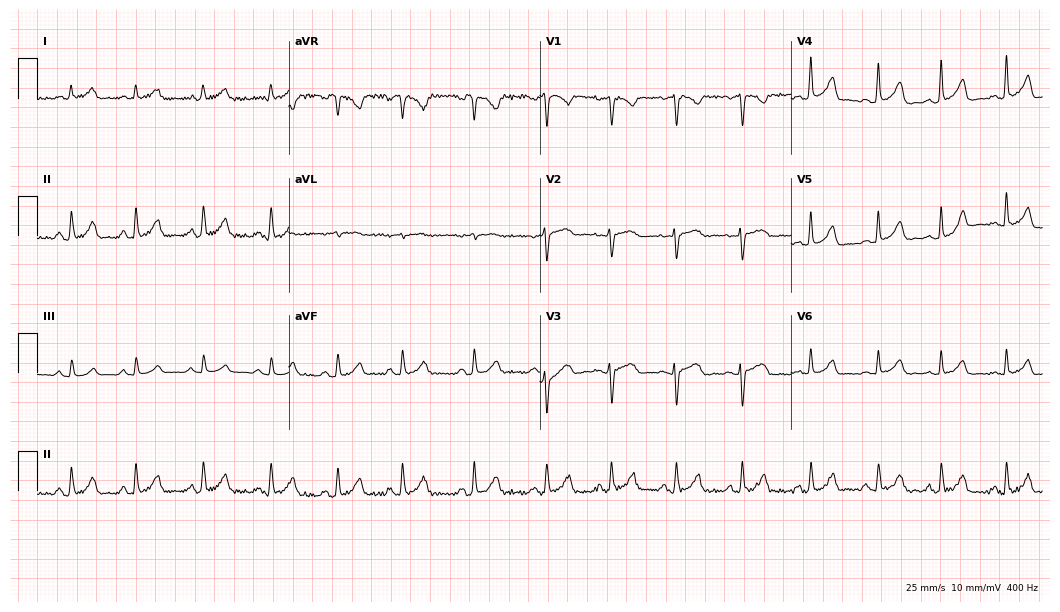
Standard 12-lead ECG recorded from a female, 29 years old (10.2-second recording at 400 Hz). None of these six findings is recorded: first-degree AV block, right bundle branch block, left bundle branch block, sinus bradycardia, atrial fibrillation, sinus tachycardia. Only these six findings were labelled.